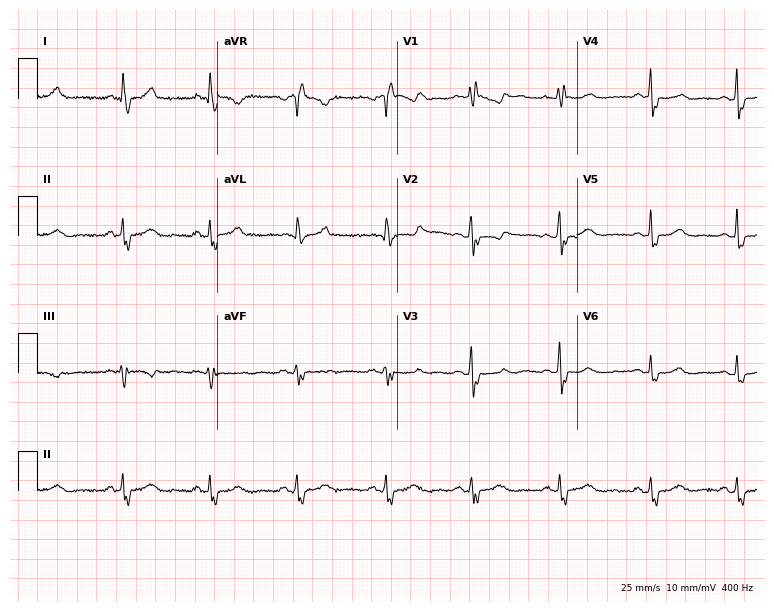
12-lead ECG from a 50-year-old woman (7.3-second recording at 400 Hz). Shows right bundle branch block.